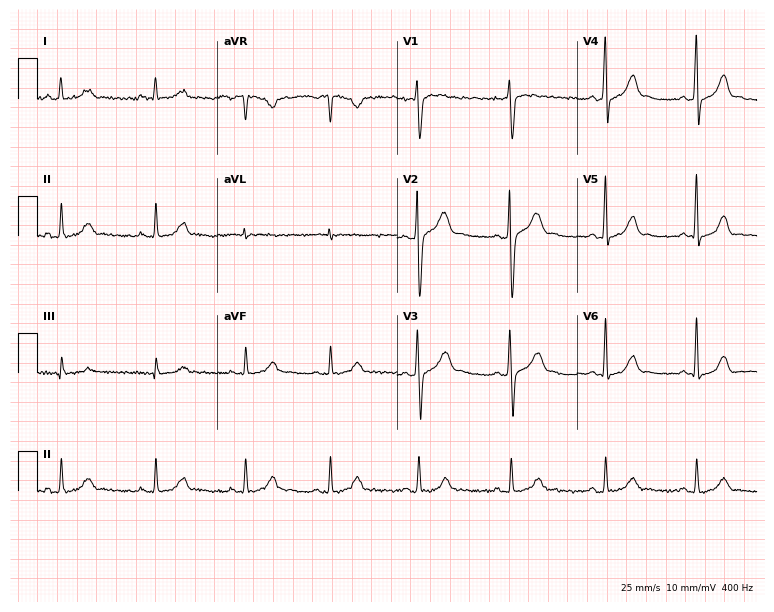
12-lead ECG from a female patient, 34 years old. Labelled as a normal ECG.